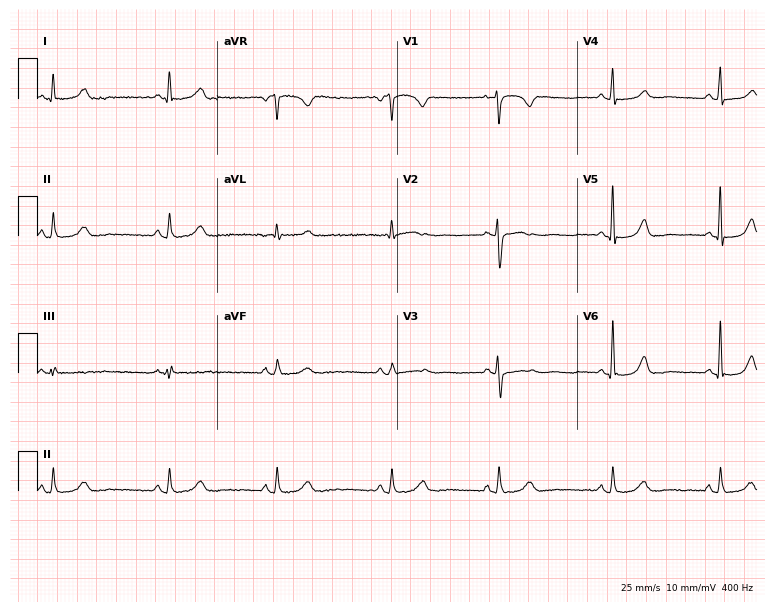
12-lead ECG from a 59-year-old woman. Recorded interpretation: within normal limits.